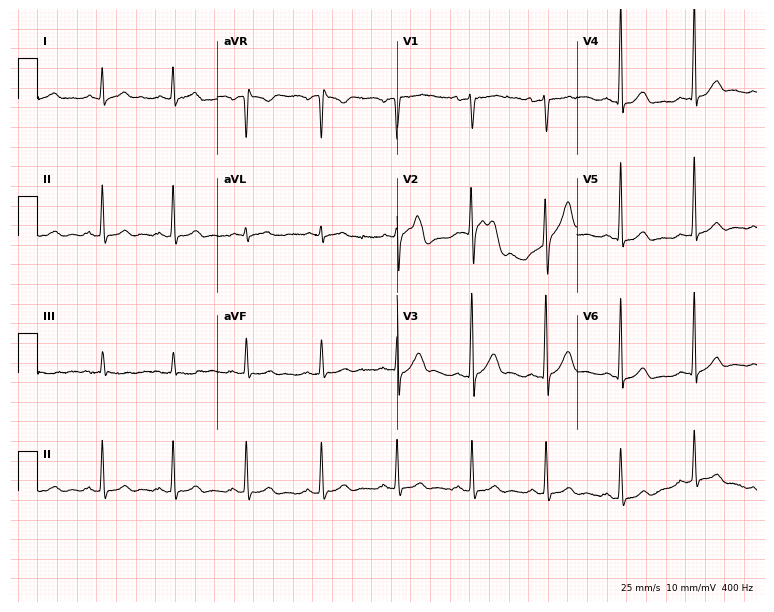
ECG — a male, 21 years old. Labelled as a normal ECG.